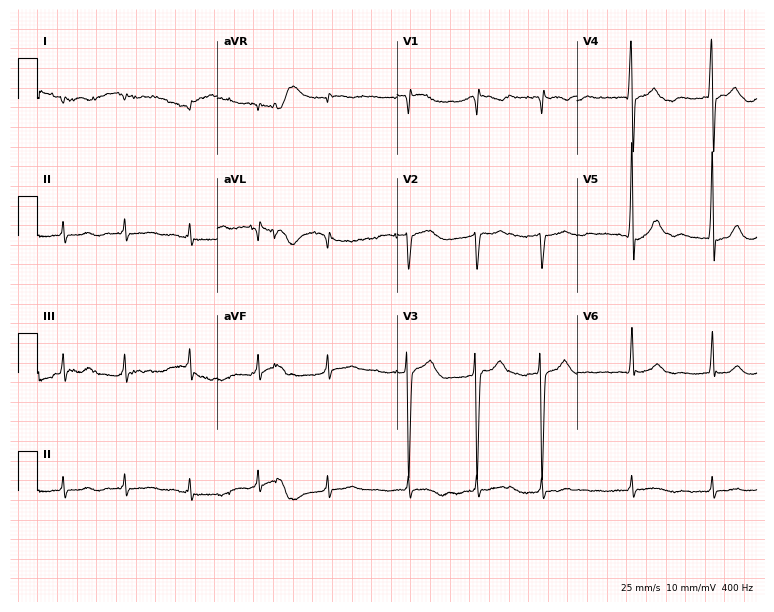
Electrocardiogram (7.3-second recording at 400 Hz), a male patient, 84 years old. Interpretation includes atrial fibrillation (AF).